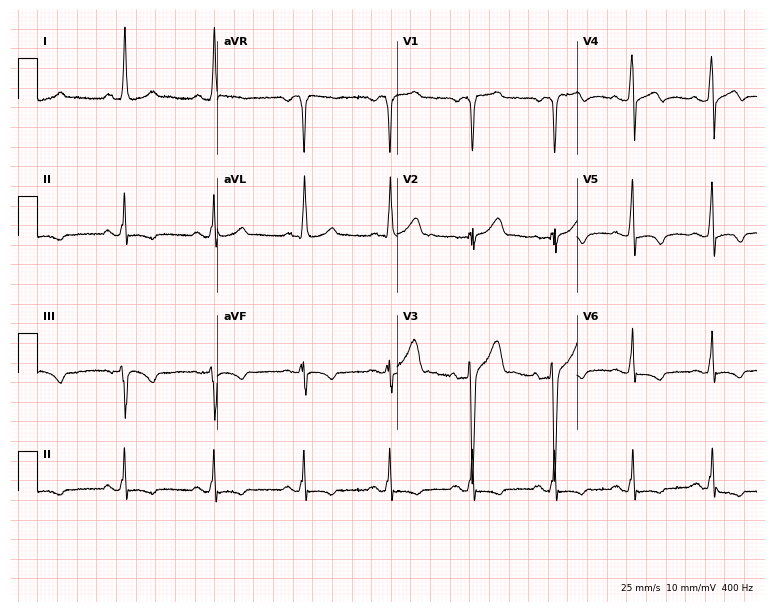
Resting 12-lead electrocardiogram. Patient: a man, 34 years old. None of these six findings is recorded: first-degree AV block, right bundle branch block, left bundle branch block, sinus bradycardia, atrial fibrillation, sinus tachycardia. Only these six findings were labelled.